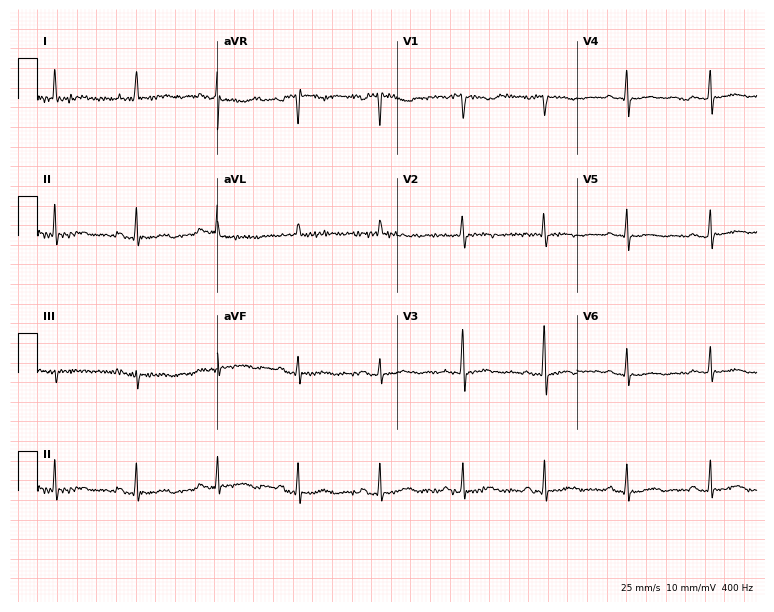
Electrocardiogram, a female, 65 years old. Of the six screened findings (first-degree AV block, right bundle branch block, left bundle branch block, sinus bradycardia, atrial fibrillation, sinus tachycardia), none is recorded. Findings outside these six are not listed.